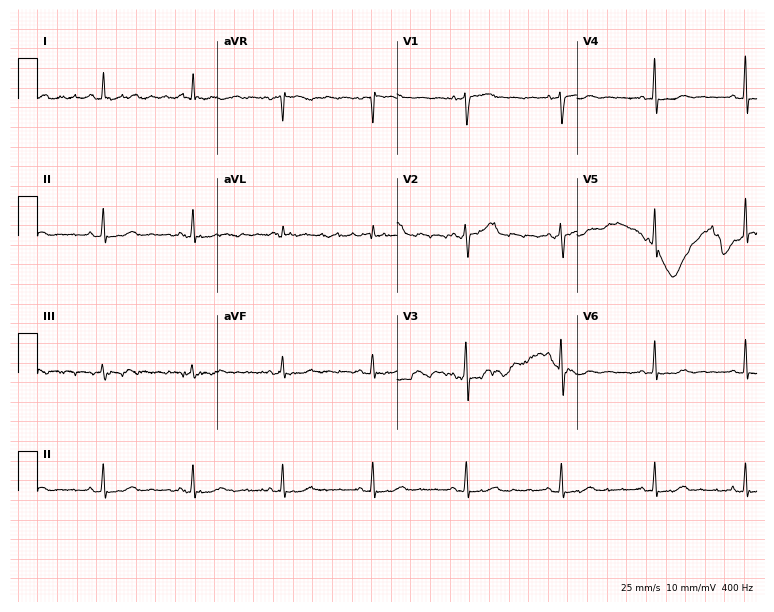
Electrocardiogram, a female patient, 64 years old. Of the six screened findings (first-degree AV block, right bundle branch block (RBBB), left bundle branch block (LBBB), sinus bradycardia, atrial fibrillation (AF), sinus tachycardia), none is recorded.